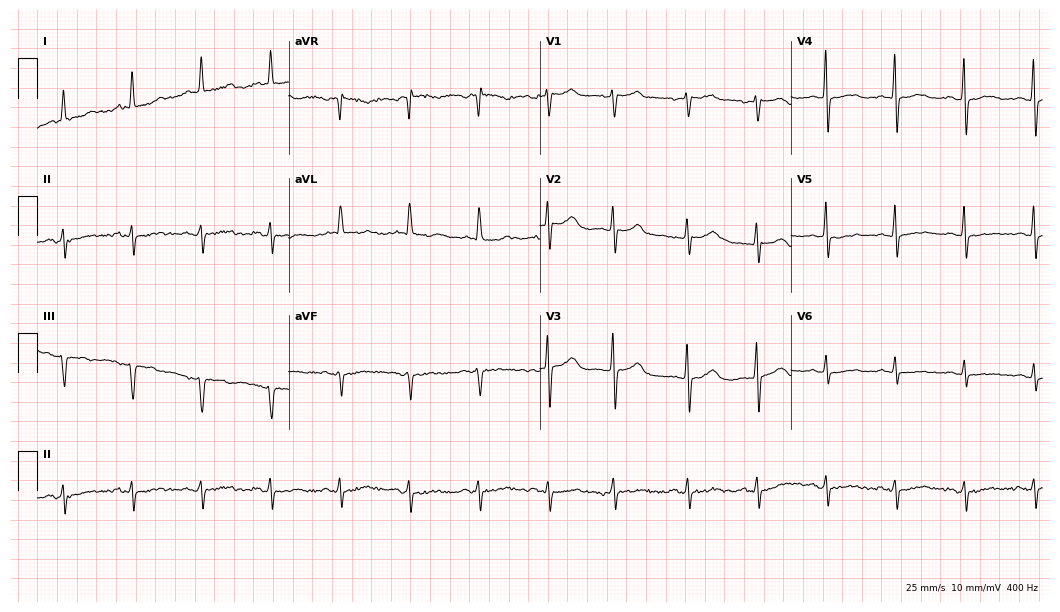
Resting 12-lead electrocardiogram. Patient: a 73-year-old female. Read as a normal ECG.